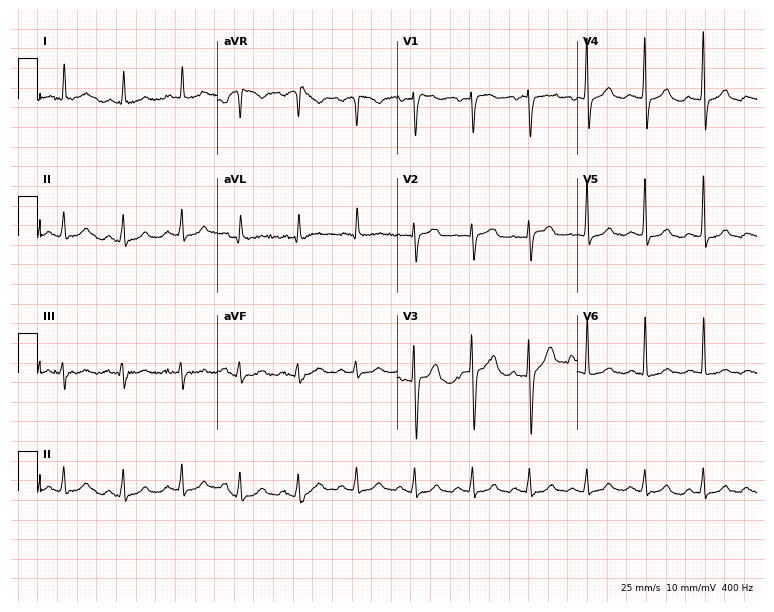
Standard 12-lead ECG recorded from a 61-year-old male (7.3-second recording at 400 Hz). The tracing shows sinus tachycardia (a sinus rate of 100 beats per minute or more).